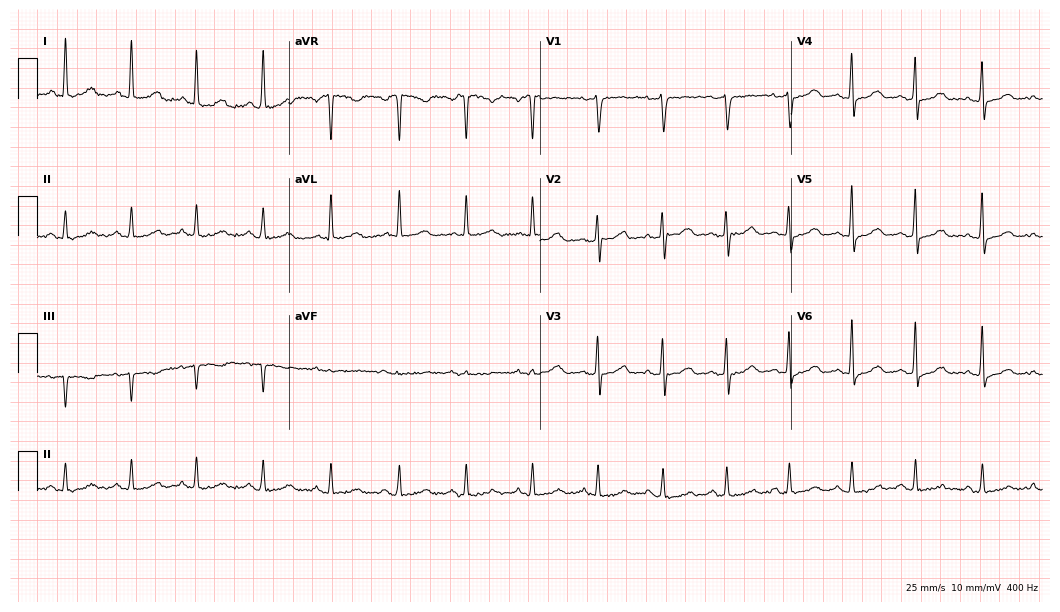
Standard 12-lead ECG recorded from a 55-year-old woman. None of these six findings is recorded: first-degree AV block, right bundle branch block, left bundle branch block, sinus bradycardia, atrial fibrillation, sinus tachycardia.